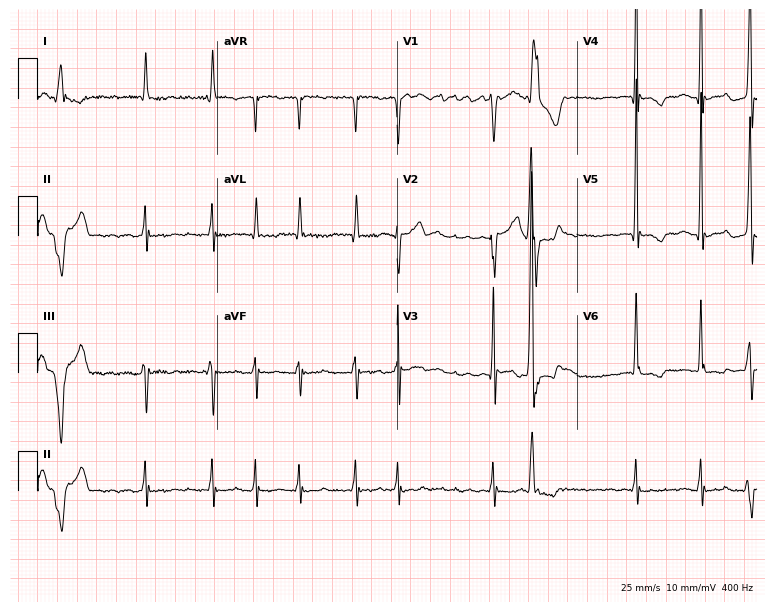
Resting 12-lead electrocardiogram (7.3-second recording at 400 Hz). Patient: a male, 74 years old. The tracing shows atrial fibrillation.